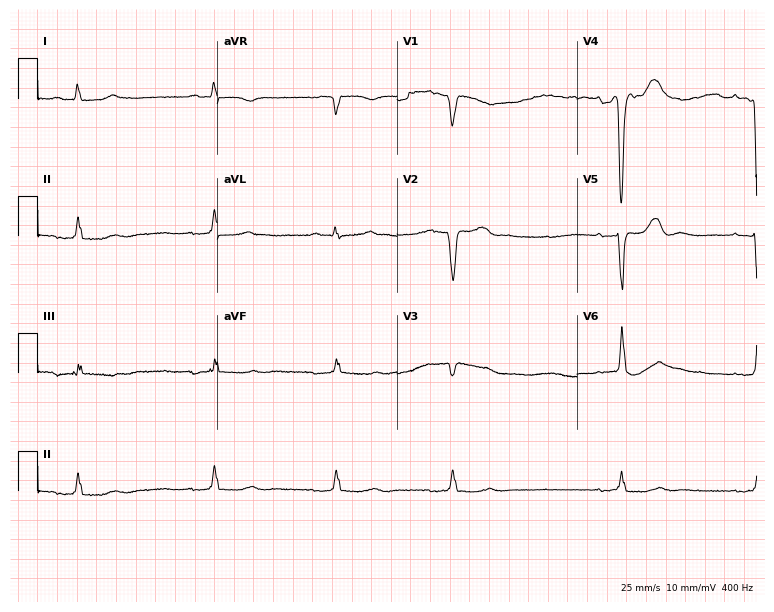
Standard 12-lead ECG recorded from a 73-year-old male patient (7.3-second recording at 400 Hz). The tracing shows first-degree AV block.